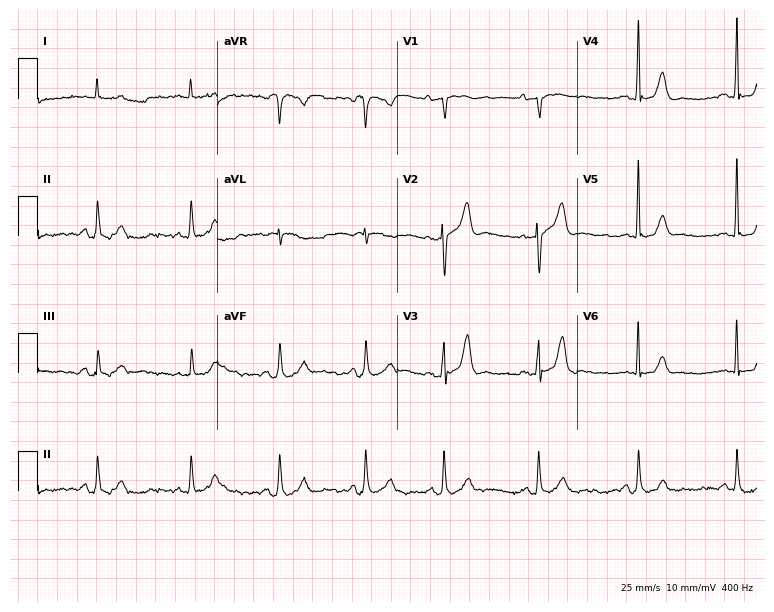
ECG — a 78-year-old man. Labelled as a normal ECG.